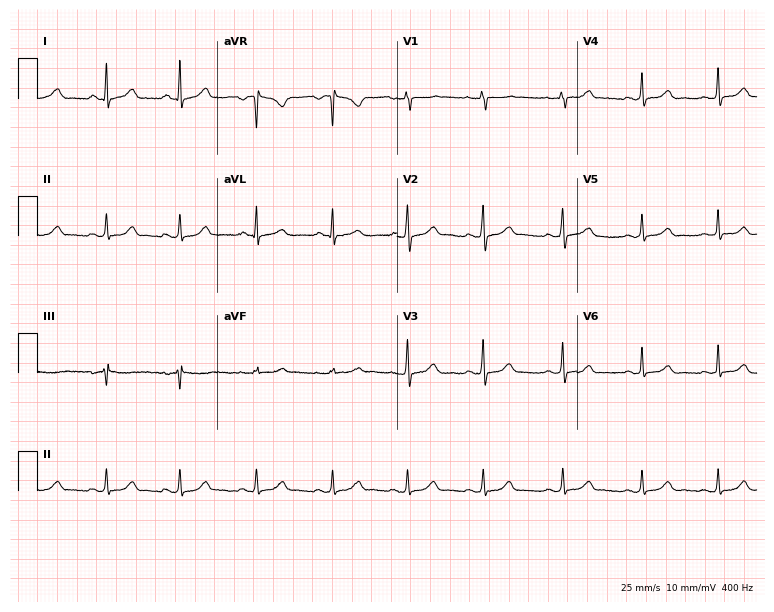
12-lead ECG from a female, 31 years old. No first-degree AV block, right bundle branch block, left bundle branch block, sinus bradycardia, atrial fibrillation or sinus tachycardia recorded for this tracing. Only these six findings were labelled.